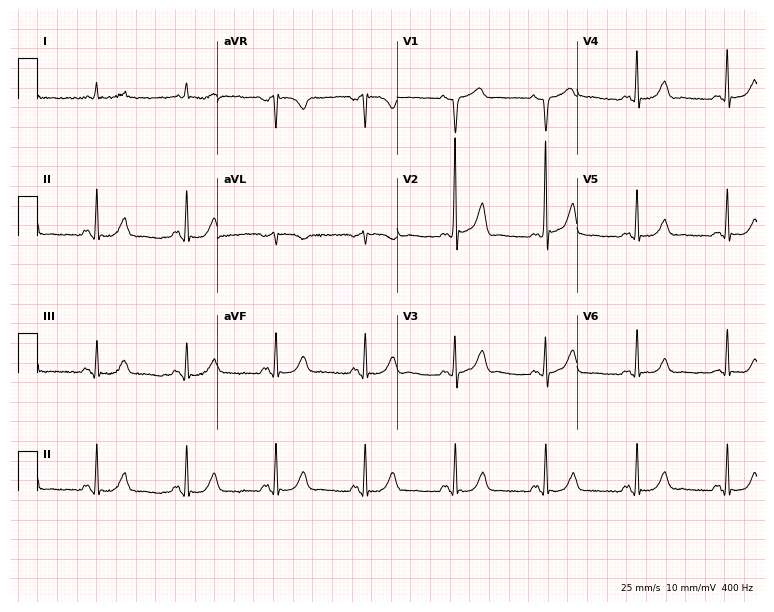
Electrocardiogram, a 71-year-old male patient. Overall reading on record: normal ECG.